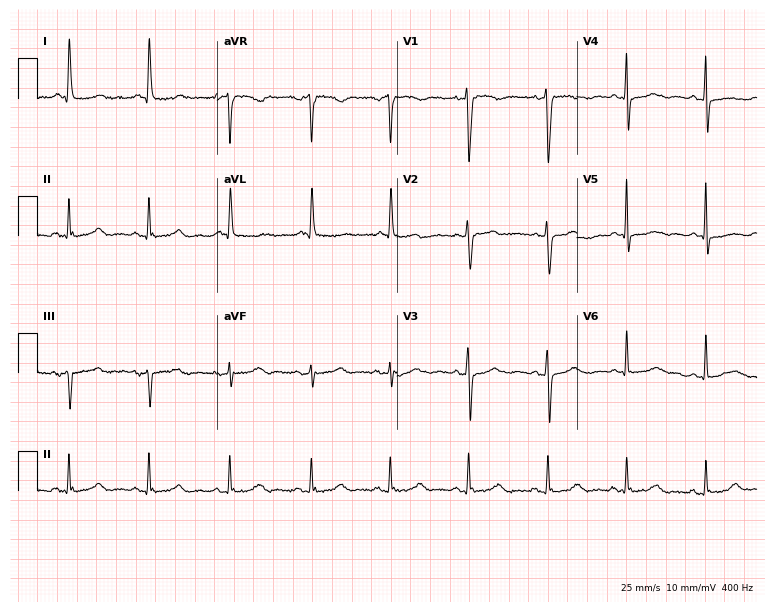
12-lead ECG from a woman, 50 years old (7.3-second recording at 400 Hz). No first-degree AV block, right bundle branch block, left bundle branch block, sinus bradycardia, atrial fibrillation or sinus tachycardia recorded for this tracing.